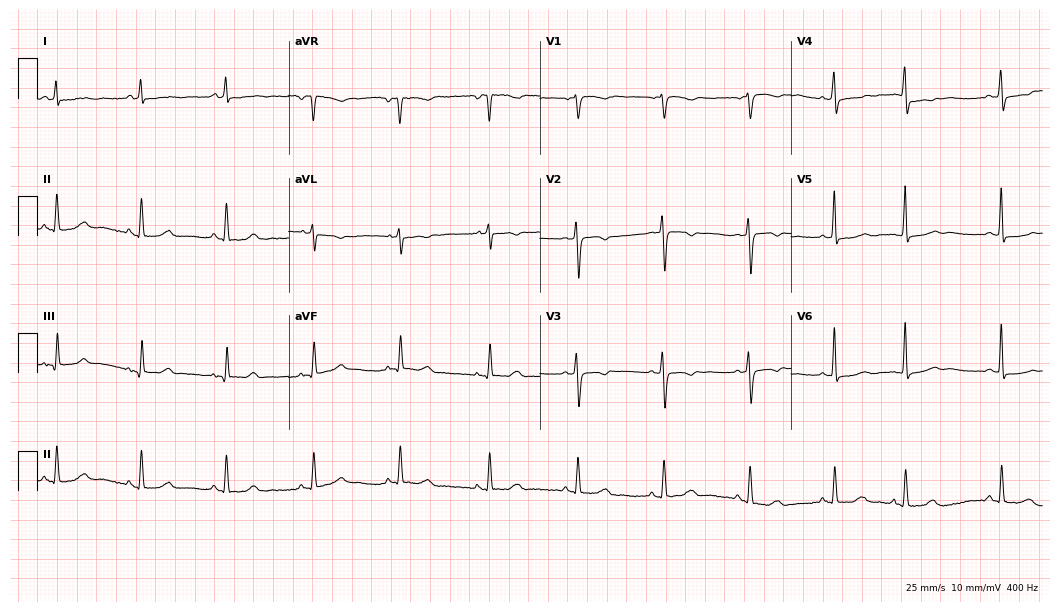
ECG (10.2-second recording at 400 Hz) — a 70-year-old woman. Screened for six findings — first-degree AV block, right bundle branch block, left bundle branch block, sinus bradycardia, atrial fibrillation, sinus tachycardia — none is recorded. Other findings, if any, are not listed.